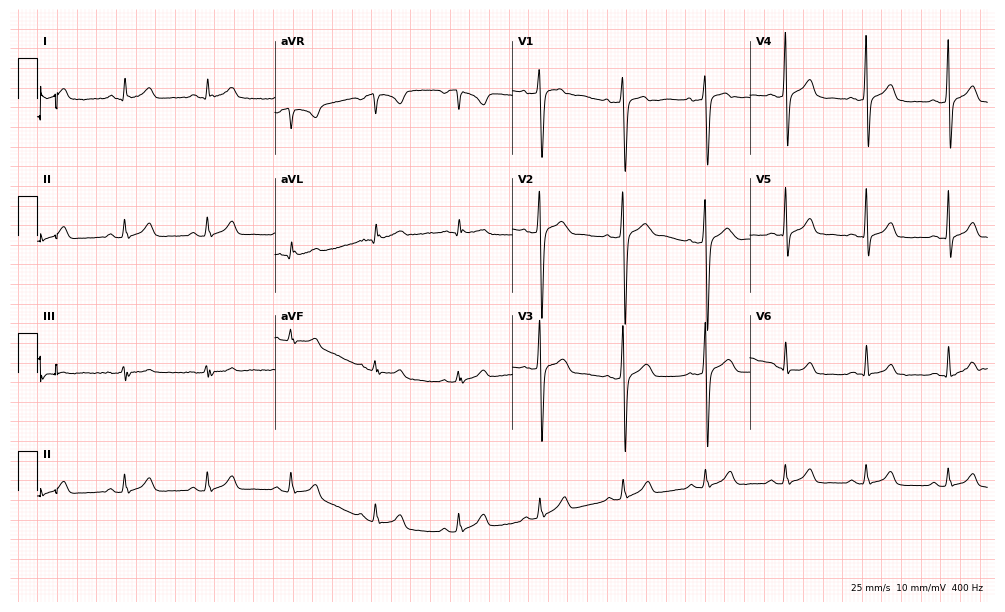
12-lead ECG from a 23-year-old man. Labelled as a normal ECG.